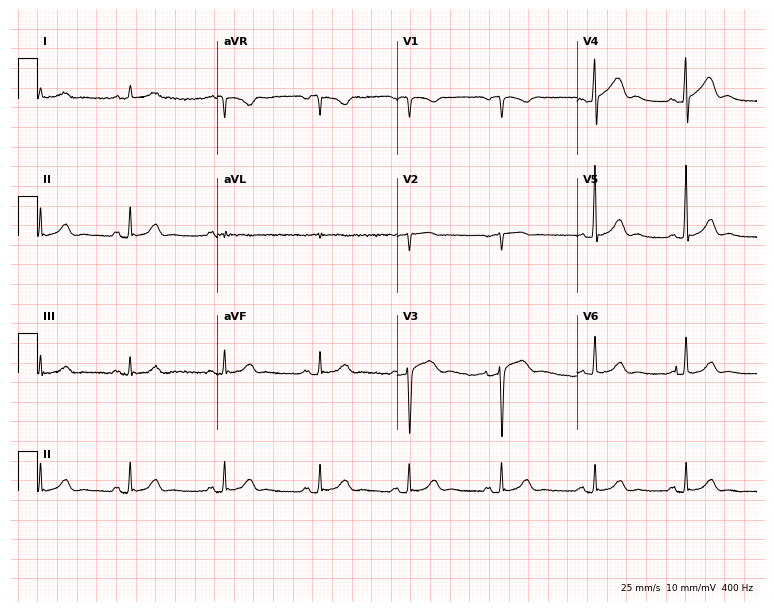
Resting 12-lead electrocardiogram (7.3-second recording at 400 Hz). Patient: a 76-year-old woman. Read as a normal ECG.